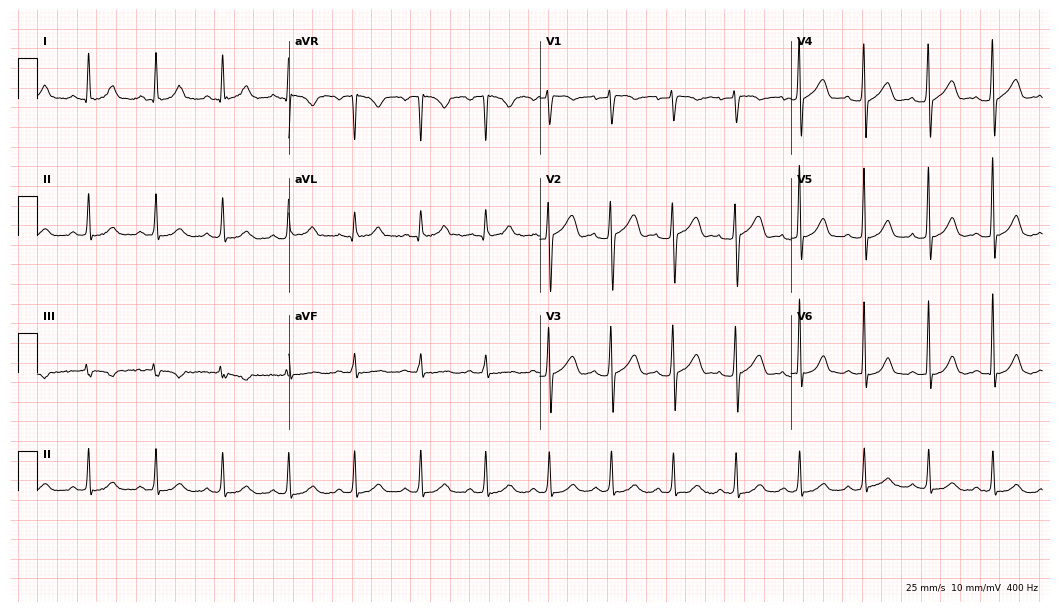
12-lead ECG (10.2-second recording at 400 Hz) from a female, 47 years old. Labelled as a normal ECG.